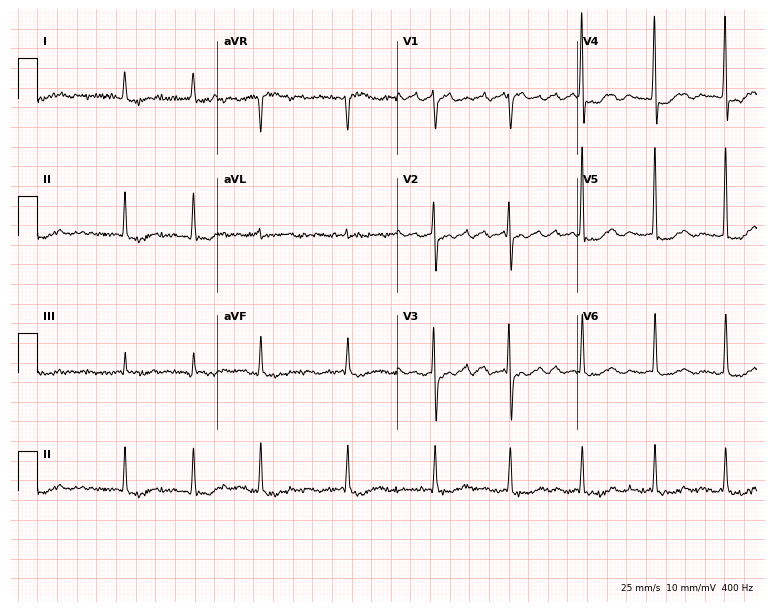
12-lead ECG from an 83-year-old woman. Shows atrial fibrillation.